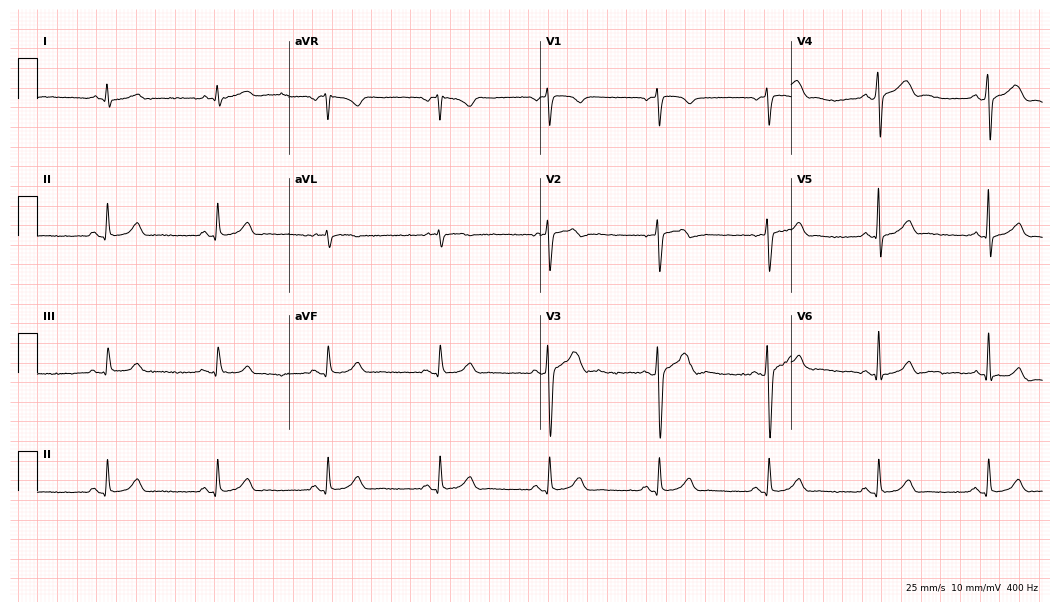
Resting 12-lead electrocardiogram (10.2-second recording at 400 Hz). Patient: a male, 41 years old. Read as a normal ECG.